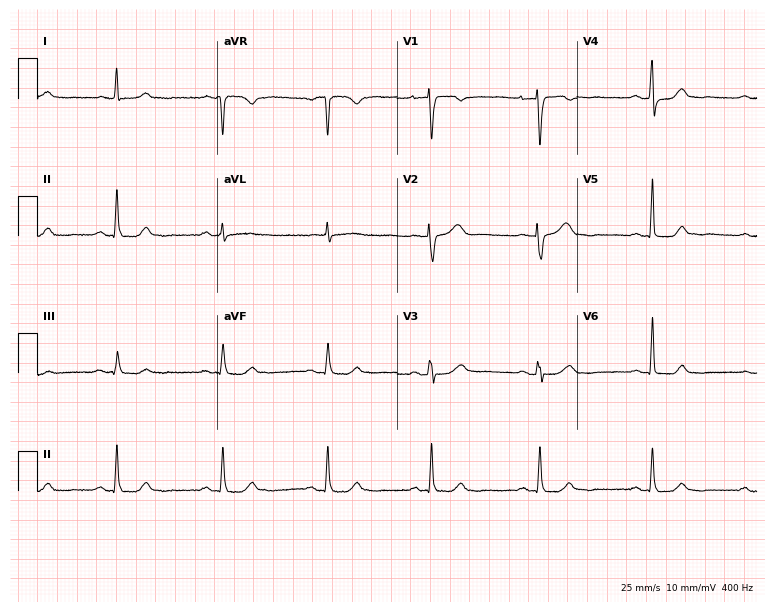
ECG — a 54-year-old female. Screened for six findings — first-degree AV block, right bundle branch block, left bundle branch block, sinus bradycardia, atrial fibrillation, sinus tachycardia — none is recorded.